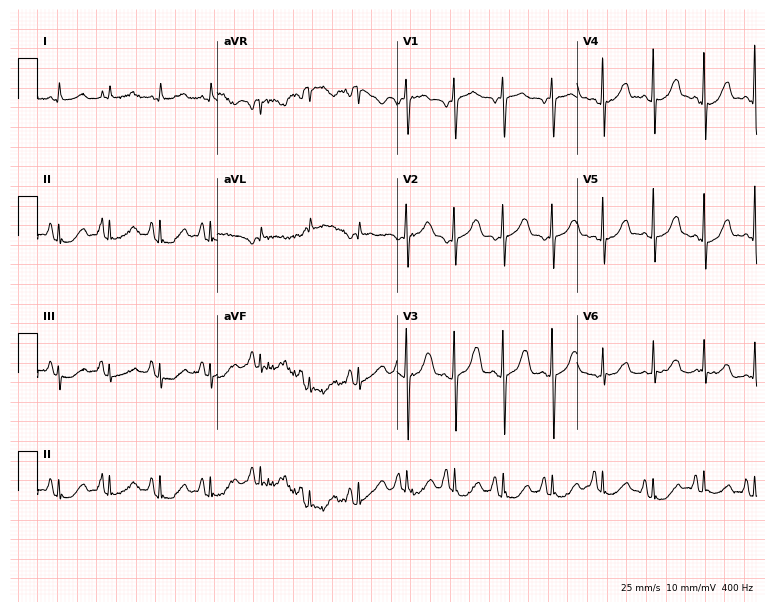
Electrocardiogram, a 38-year-old female. Interpretation includes sinus tachycardia (a sinus rate of 100 beats per minute or more).